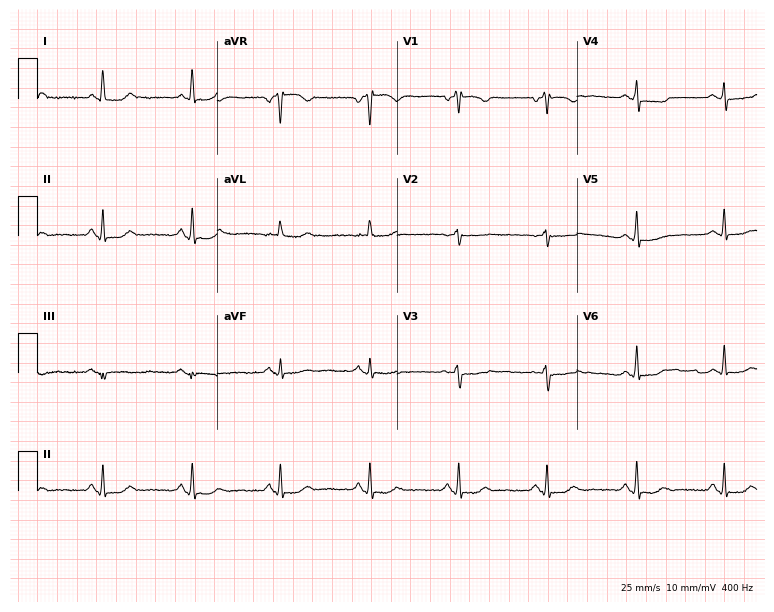
ECG (7.3-second recording at 400 Hz) — a female patient, 81 years old. Labelled as a normal ECG.